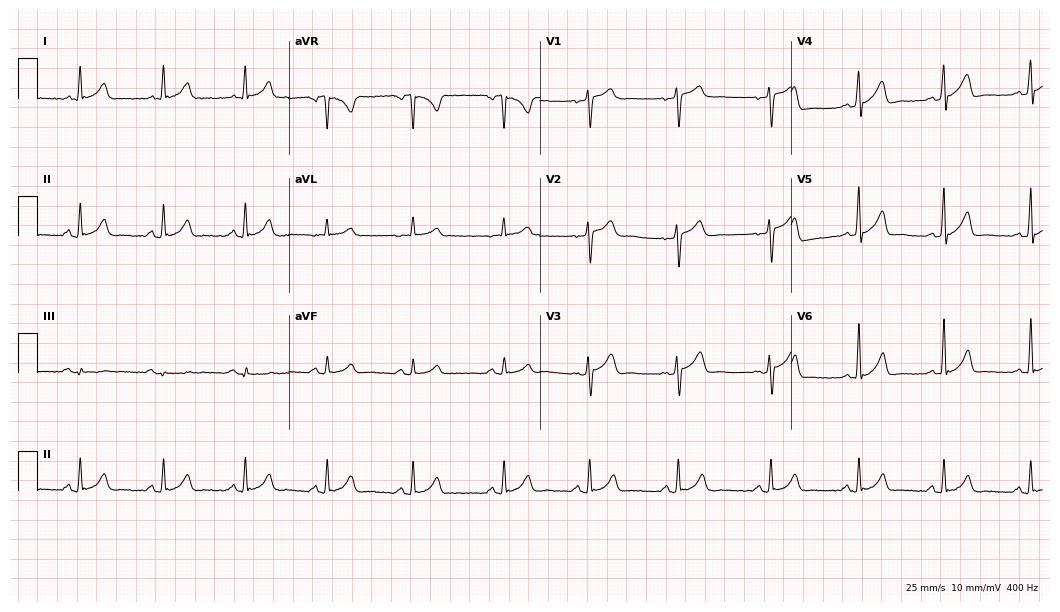
12-lead ECG from a man, 40 years old. Recorded interpretation: within normal limits.